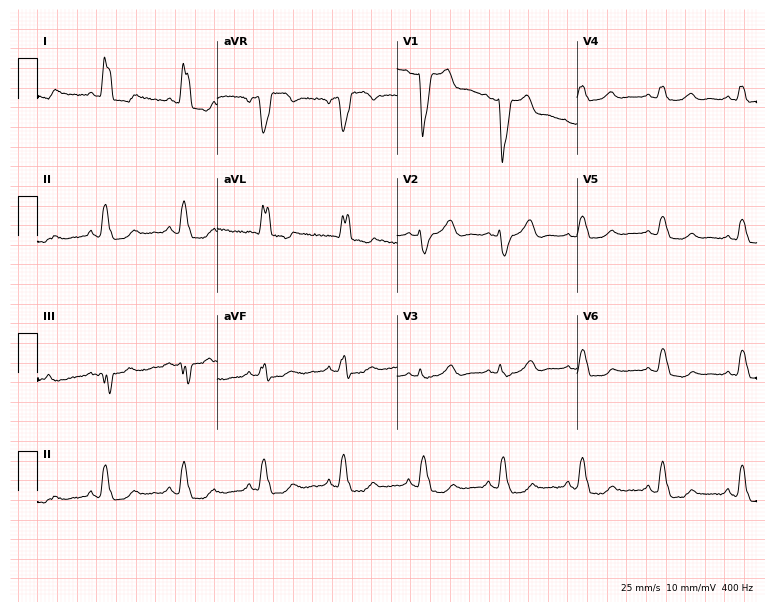
Standard 12-lead ECG recorded from a woman, 51 years old (7.3-second recording at 400 Hz). The tracing shows left bundle branch block (LBBB).